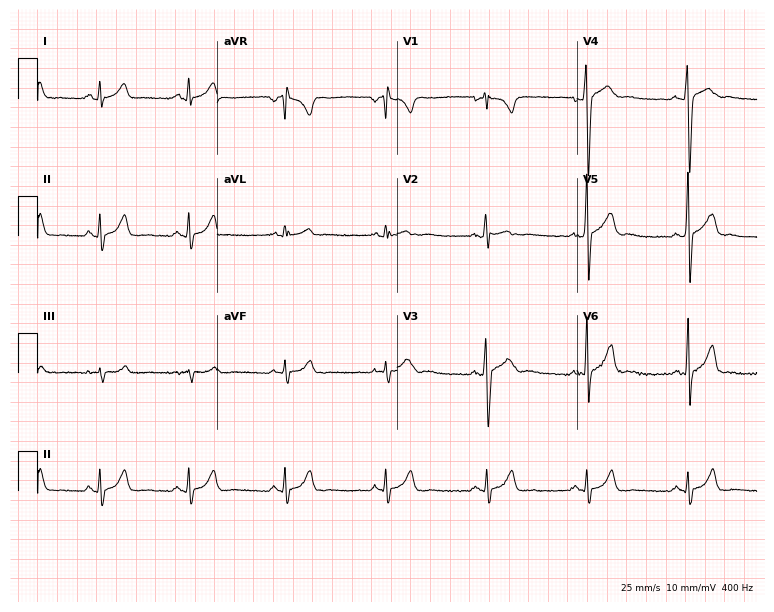
Standard 12-lead ECG recorded from an 18-year-old man. Read as a normal ECG.